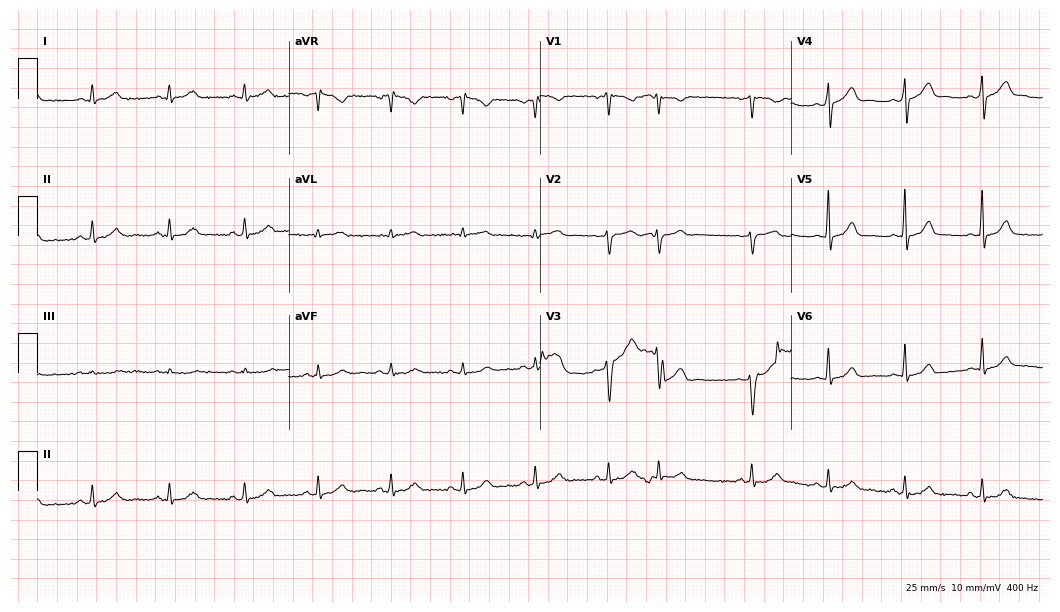
Electrocardiogram (10.2-second recording at 400 Hz), a 31-year-old female patient. Of the six screened findings (first-degree AV block, right bundle branch block (RBBB), left bundle branch block (LBBB), sinus bradycardia, atrial fibrillation (AF), sinus tachycardia), none is recorded. Other findings, if any, are not listed.